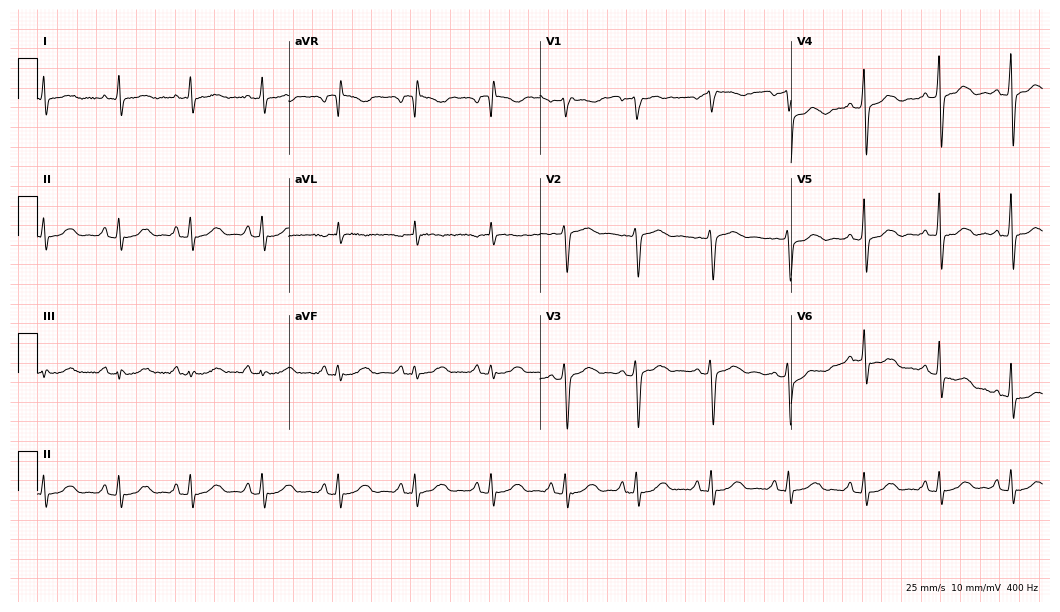
12-lead ECG from a 56-year-old woman (10.2-second recording at 400 Hz). Recorded interpretation: within normal limits.